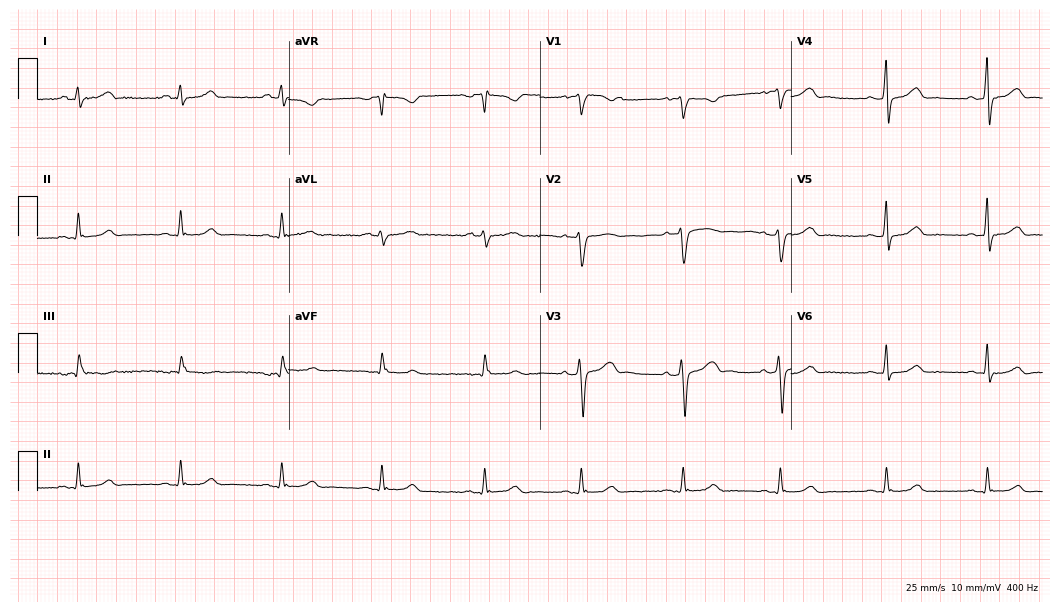
Resting 12-lead electrocardiogram. Patient: a female, 42 years old. None of these six findings is recorded: first-degree AV block, right bundle branch block (RBBB), left bundle branch block (LBBB), sinus bradycardia, atrial fibrillation (AF), sinus tachycardia. Findings outside these six are not listed.